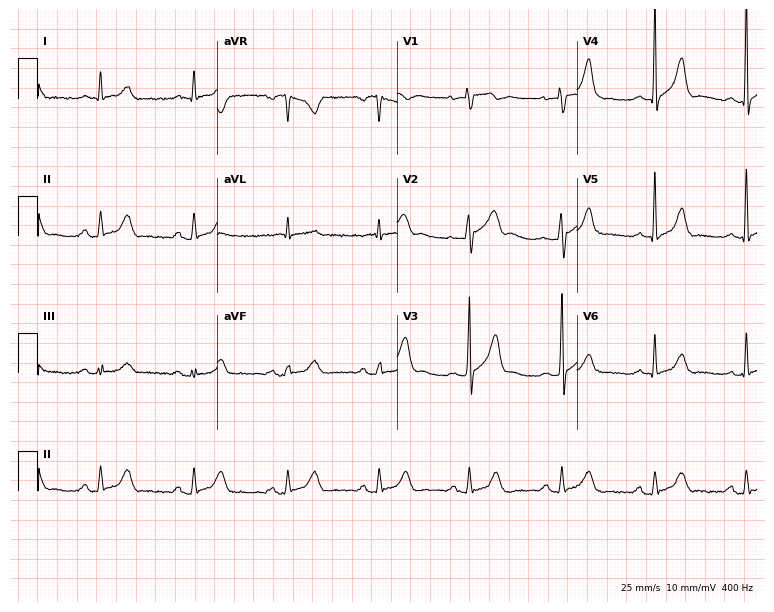
Electrocardiogram (7.3-second recording at 400 Hz), a 79-year-old man. Of the six screened findings (first-degree AV block, right bundle branch block (RBBB), left bundle branch block (LBBB), sinus bradycardia, atrial fibrillation (AF), sinus tachycardia), none is recorded. Other findings, if any, are not listed.